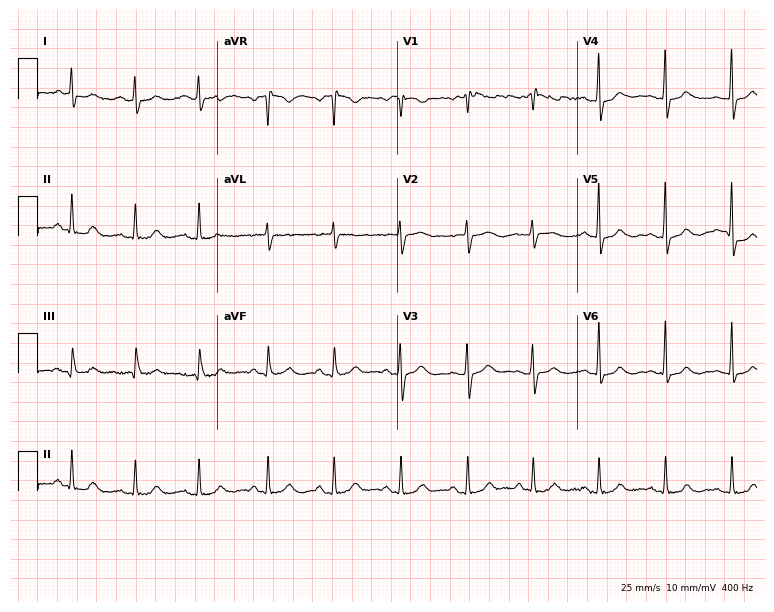
12-lead ECG from a female patient, 82 years old. No first-degree AV block, right bundle branch block, left bundle branch block, sinus bradycardia, atrial fibrillation or sinus tachycardia recorded for this tracing.